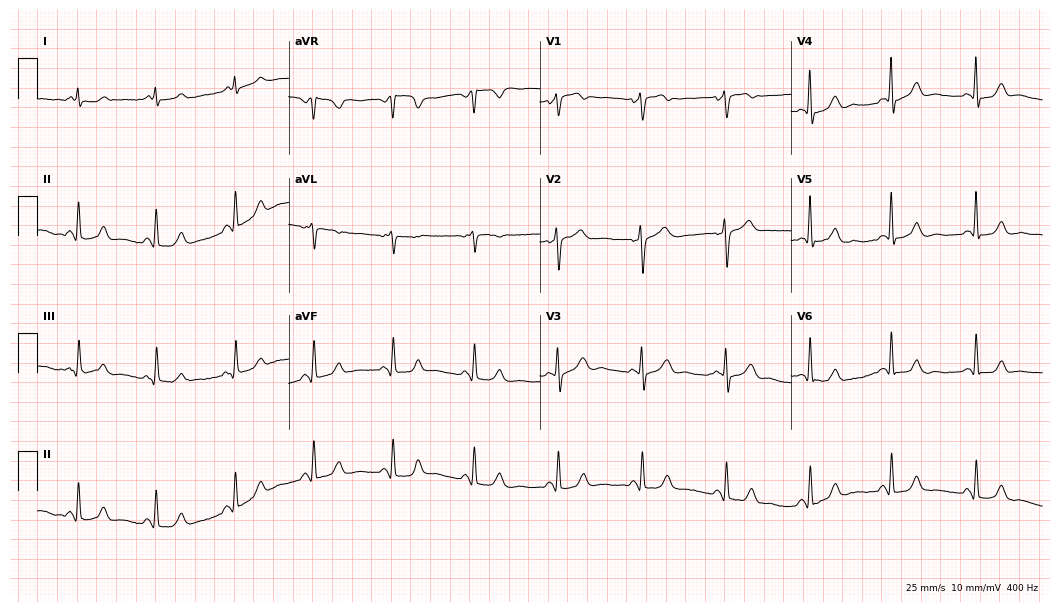
Electrocardiogram, a 56-year-old female patient. Overall reading on record: normal ECG.